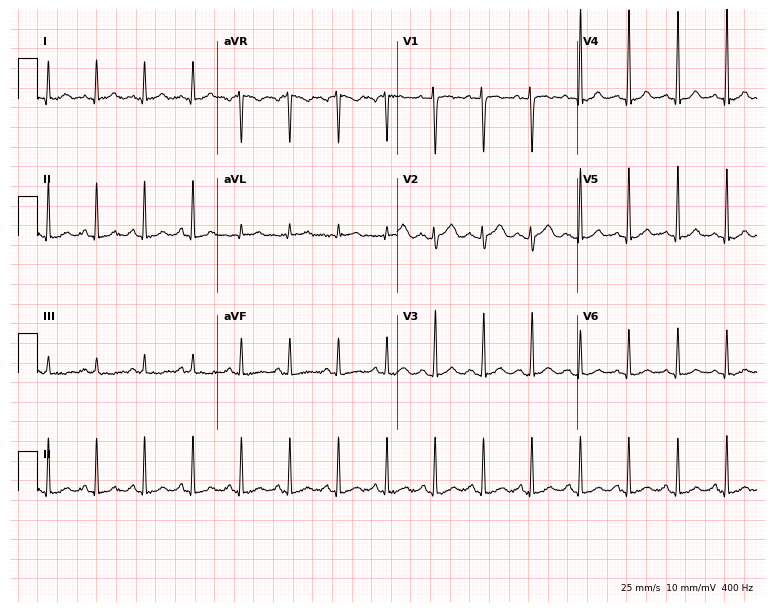
Electrocardiogram, a woman, 31 years old. Interpretation includes sinus tachycardia (a sinus rate of 100 beats per minute or more).